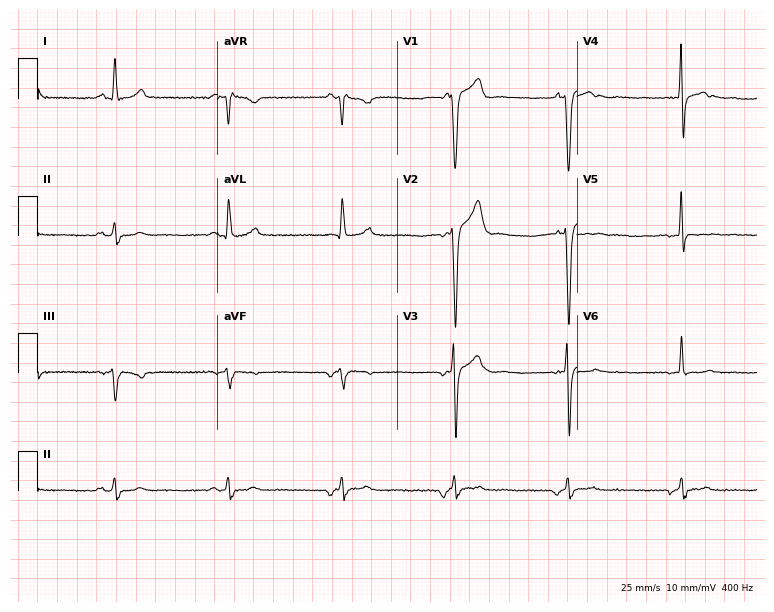
12-lead ECG from a man, 50 years old. Screened for six findings — first-degree AV block, right bundle branch block, left bundle branch block, sinus bradycardia, atrial fibrillation, sinus tachycardia — none is recorded. Findings outside these six are not listed.